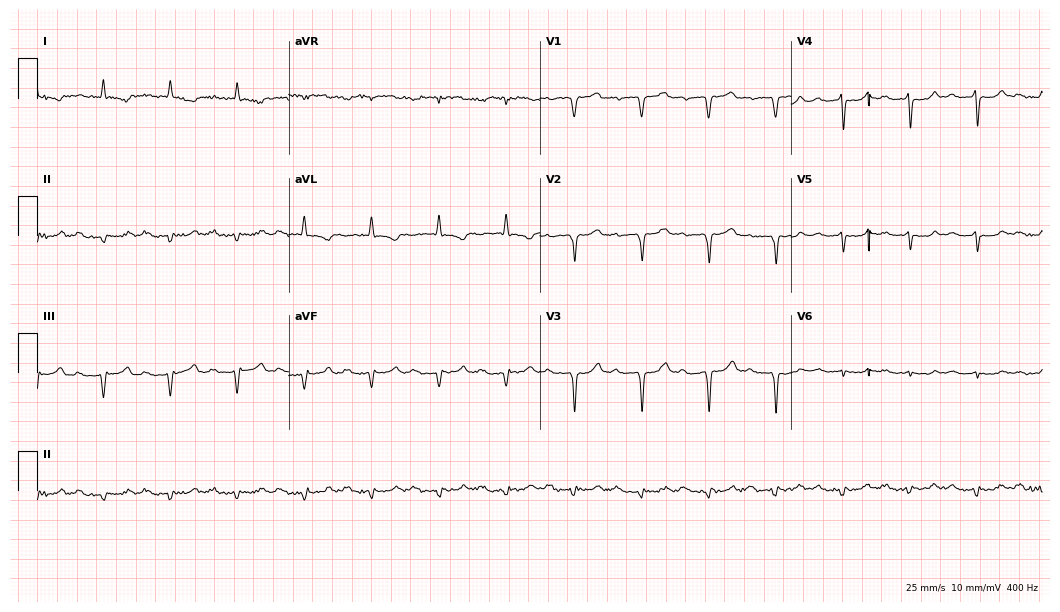
ECG (10.2-second recording at 400 Hz) — a man, 71 years old. Screened for six findings — first-degree AV block, right bundle branch block, left bundle branch block, sinus bradycardia, atrial fibrillation, sinus tachycardia — none is recorded. Only these six findings were labelled.